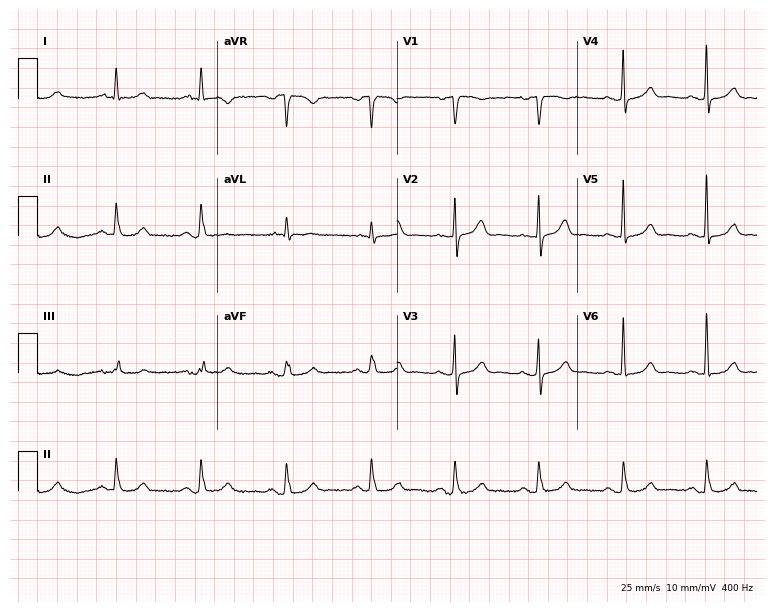
ECG — a female, 76 years old. Labelled as a normal ECG.